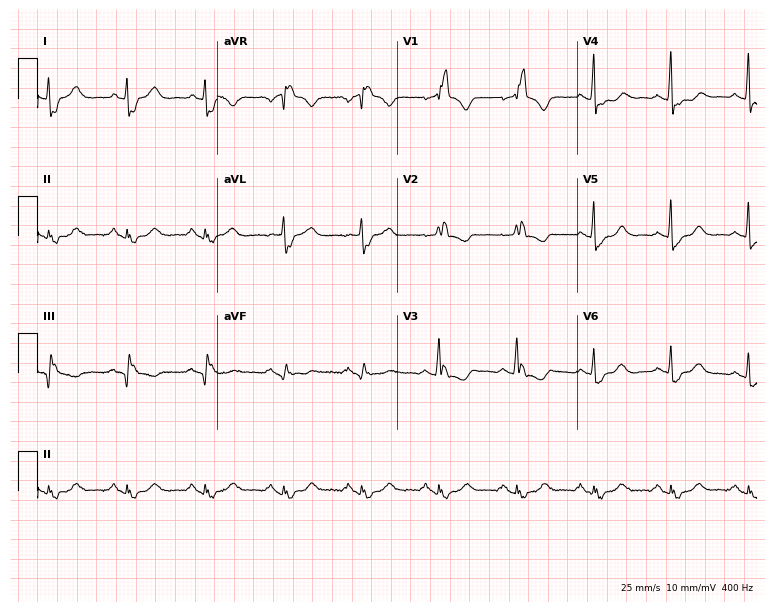
Resting 12-lead electrocardiogram (7.3-second recording at 400 Hz). Patient: a 69-year-old female. The tracing shows right bundle branch block.